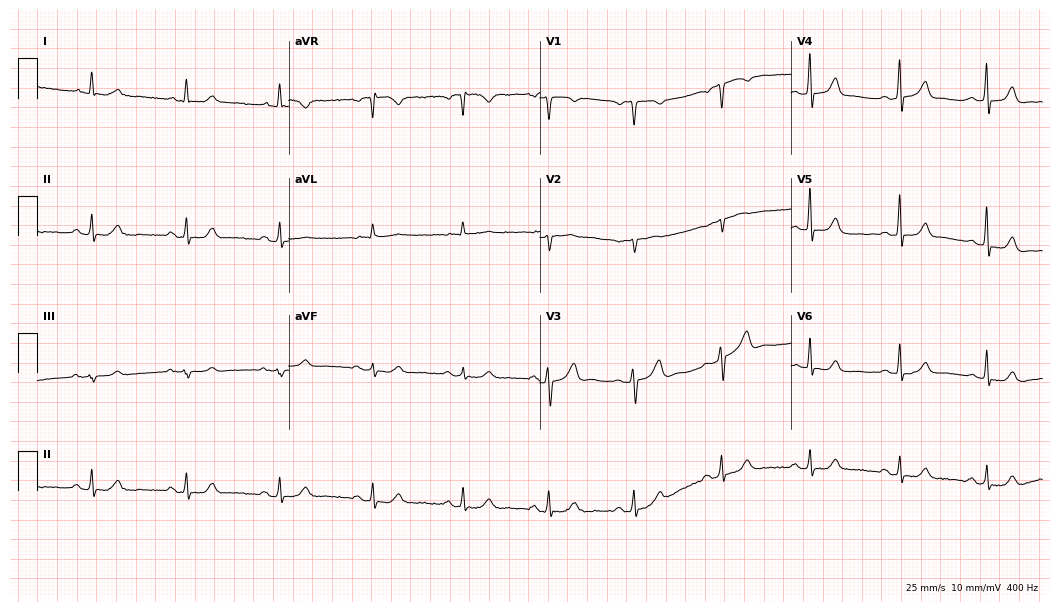
ECG (10.2-second recording at 400 Hz) — a 73-year-old man. Labelled as a normal ECG.